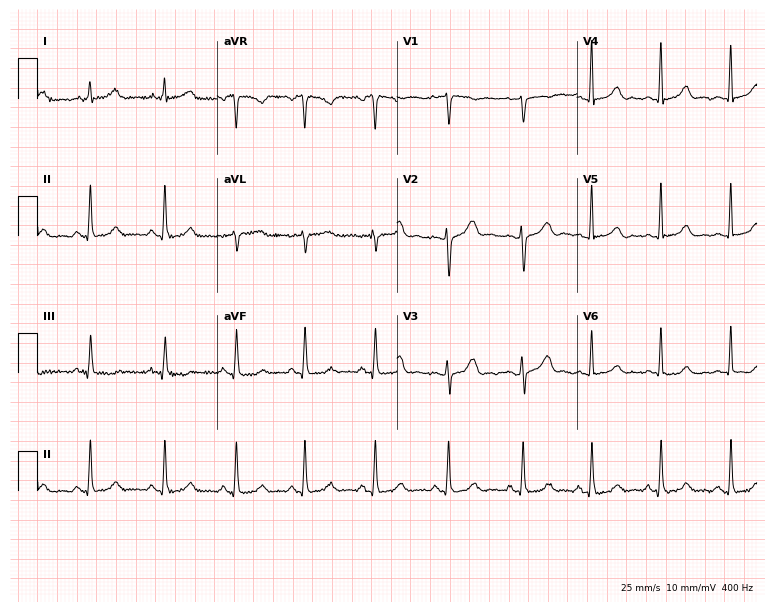
Electrocardiogram, a 33-year-old female. Of the six screened findings (first-degree AV block, right bundle branch block (RBBB), left bundle branch block (LBBB), sinus bradycardia, atrial fibrillation (AF), sinus tachycardia), none is recorded.